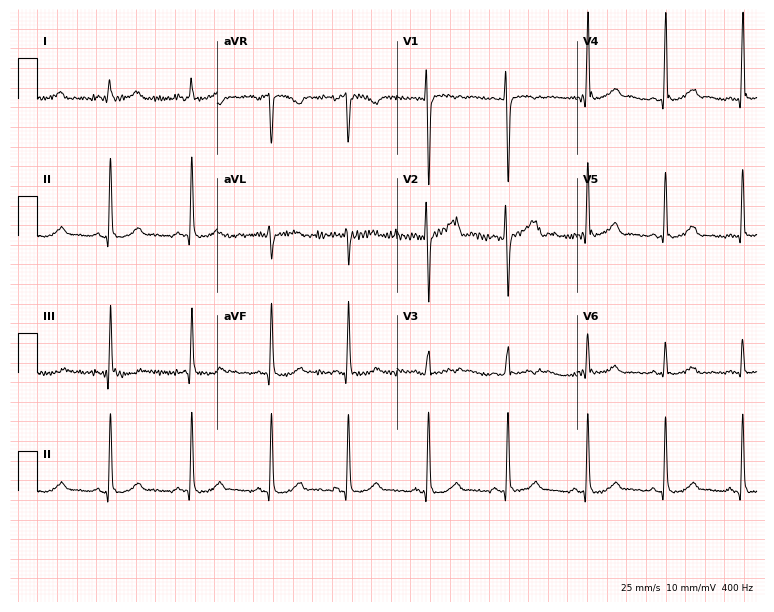
12-lead ECG from a female, 26 years old (7.3-second recording at 400 Hz). Recorded interpretation: within normal limits.